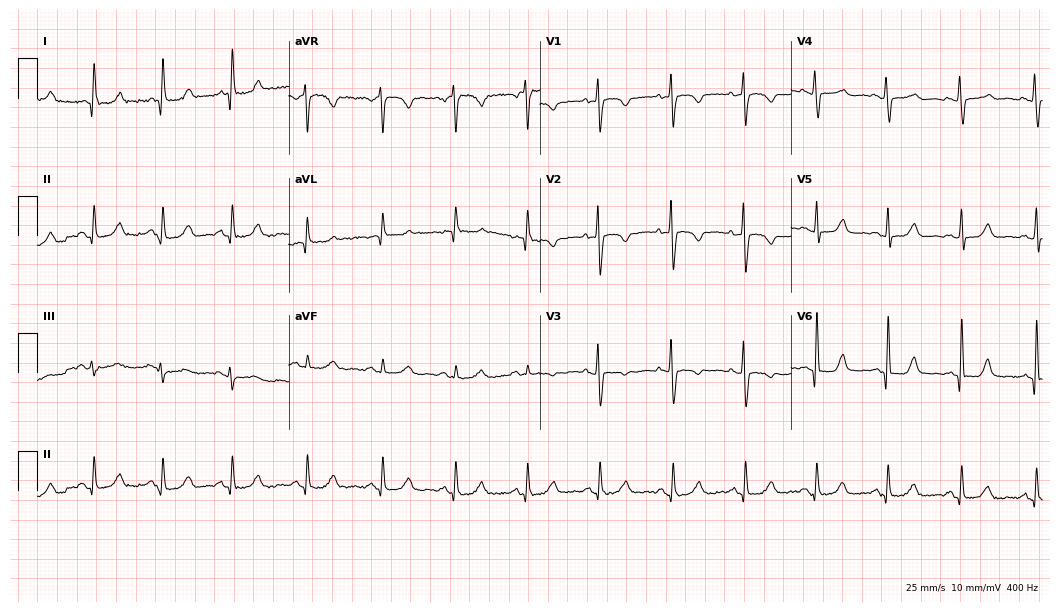
Resting 12-lead electrocardiogram. Patient: a female, 53 years old. None of these six findings is recorded: first-degree AV block, right bundle branch block, left bundle branch block, sinus bradycardia, atrial fibrillation, sinus tachycardia. Only these six findings were labelled.